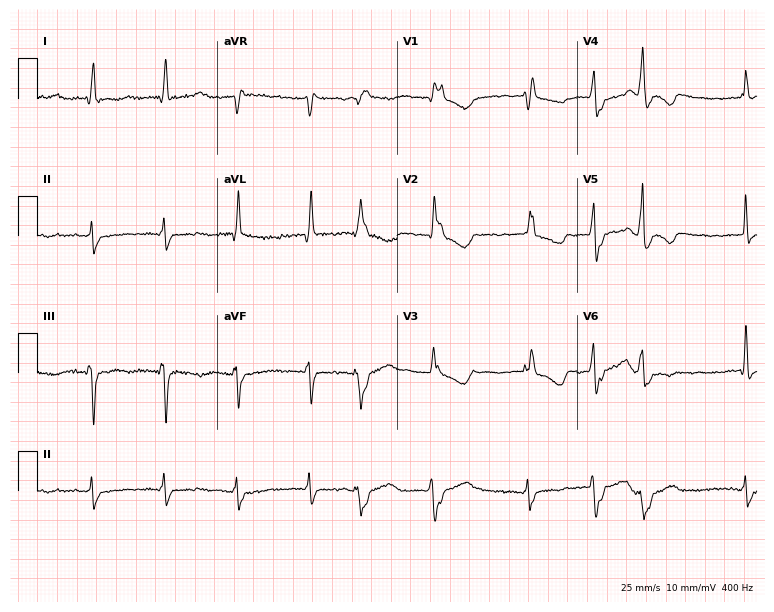
Standard 12-lead ECG recorded from a woman, 31 years old. None of these six findings is recorded: first-degree AV block, right bundle branch block, left bundle branch block, sinus bradycardia, atrial fibrillation, sinus tachycardia.